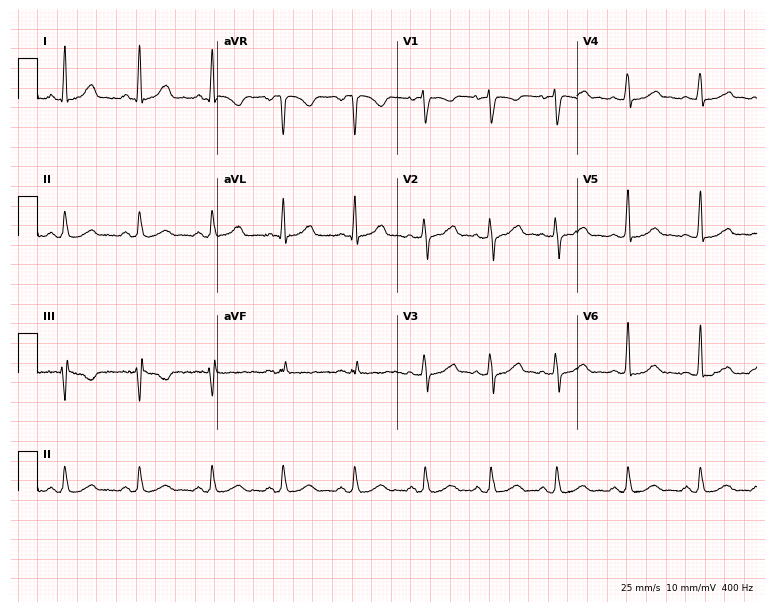
Resting 12-lead electrocardiogram (7.3-second recording at 400 Hz). Patient: a female, 34 years old. None of these six findings is recorded: first-degree AV block, right bundle branch block, left bundle branch block, sinus bradycardia, atrial fibrillation, sinus tachycardia. Other findings, if any, are not listed.